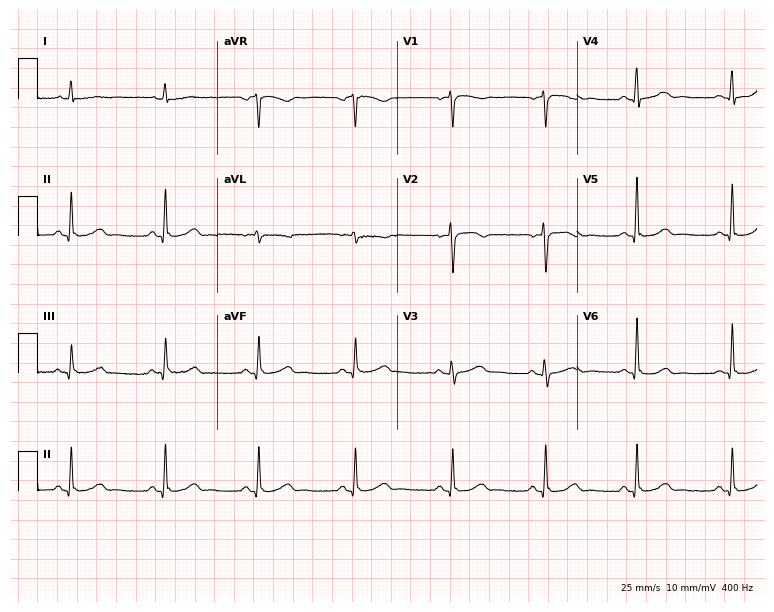
Electrocardiogram (7.3-second recording at 400 Hz), a 53-year-old female. Overall reading on record: normal ECG.